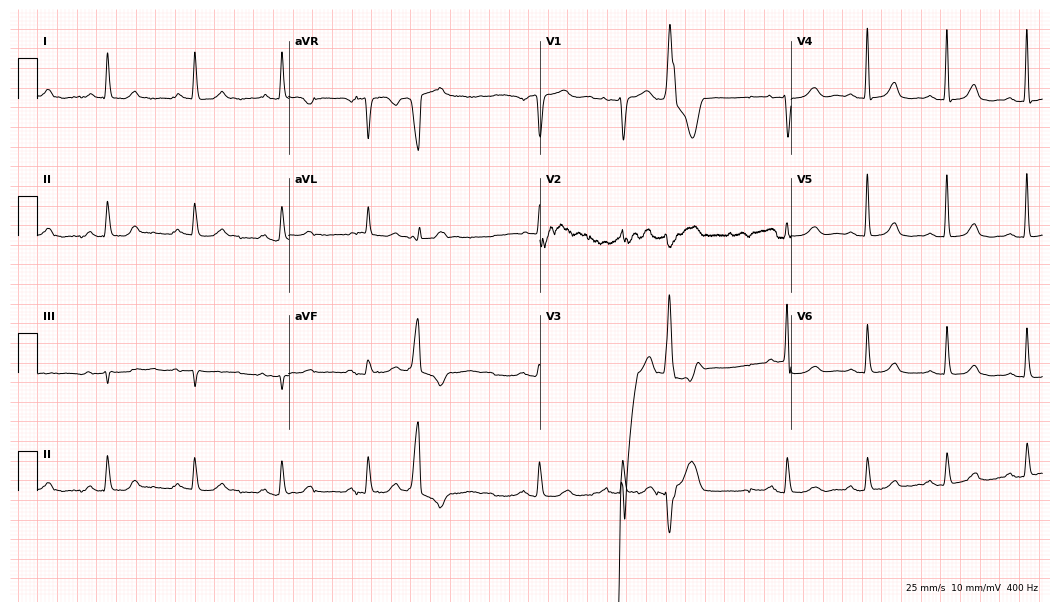
Standard 12-lead ECG recorded from a woman, 85 years old. None of these six findings is recorded: first-degree AV block, right bundle branch block, left bundle branch block, sinus bradycardia, atrial fibrillation, sinus tachycardia.